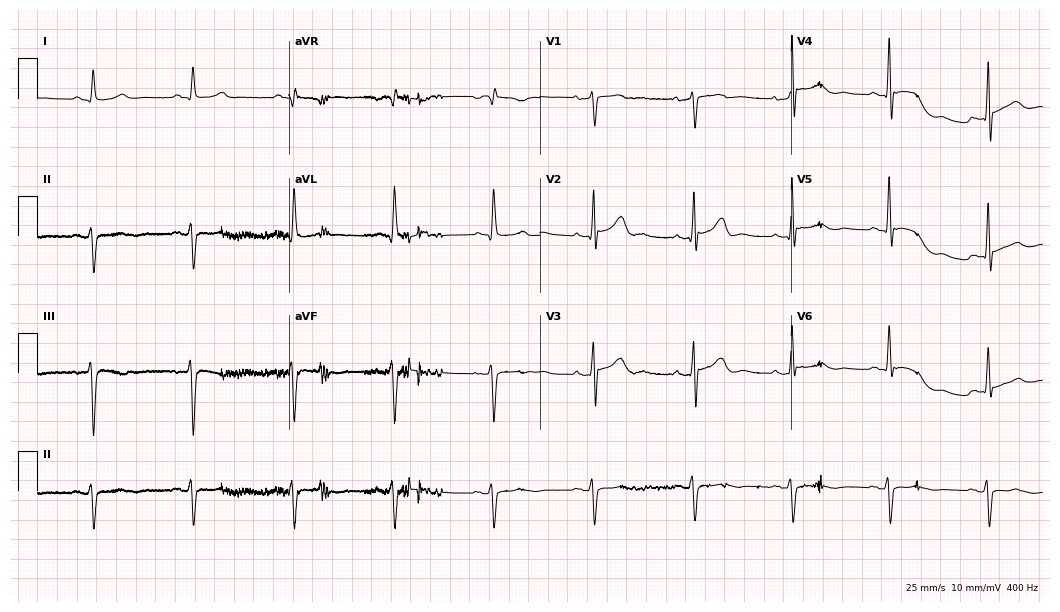
12-lead ECG from a male patient, 67 years old. Screened for six findings — first-degree AV block, right bundle branch block, left bundle branch block, sinus bradycardia, atrial fibrillation, sinus tachycardia — none is recorded.